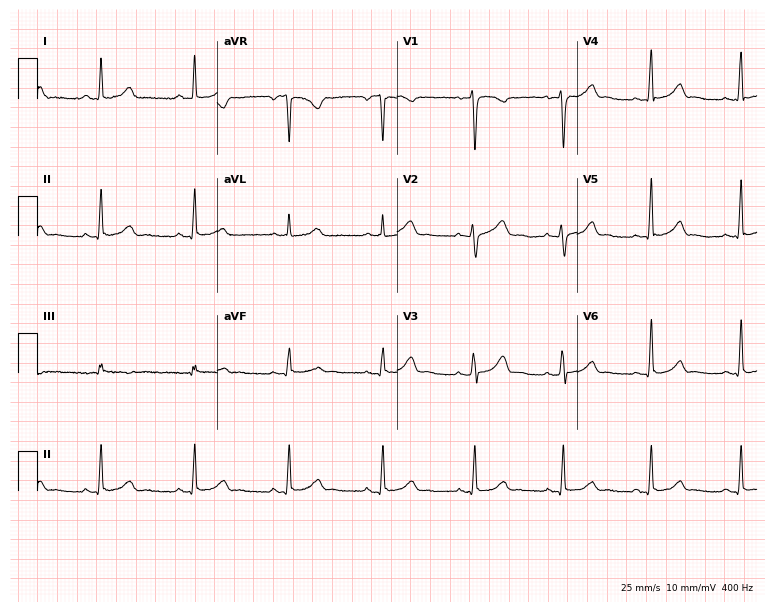
Resting 12-lead electrocardiogram. Patient: a 23-year-old woman. Read as a normal ECG.